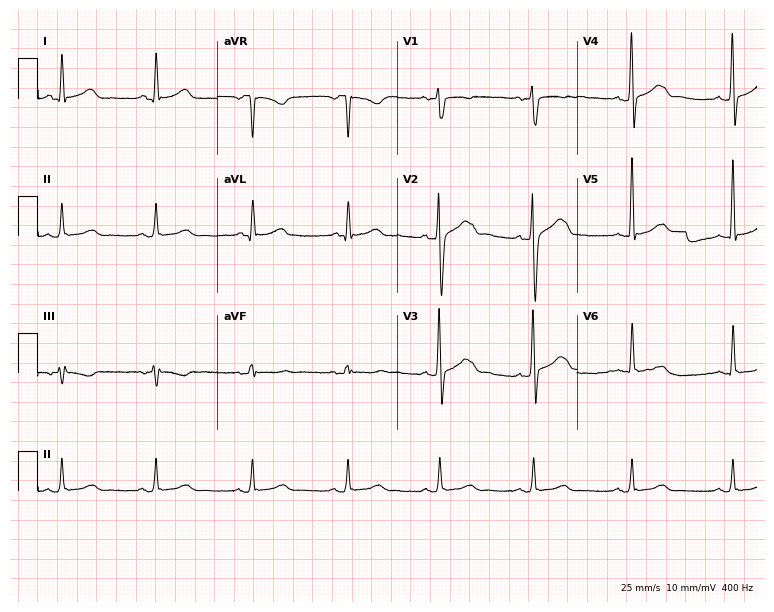
Standard 12-lead ECG recorded from a 42-year-old man (7.3-second recording at 400 Hz). None of these six findings is recorded: first-degree AV block, right bundle branch block, left bundle branch block, sinus bradycardia, atrial fibrillation, sinus tachycardia. Findings outside these six are not listed.